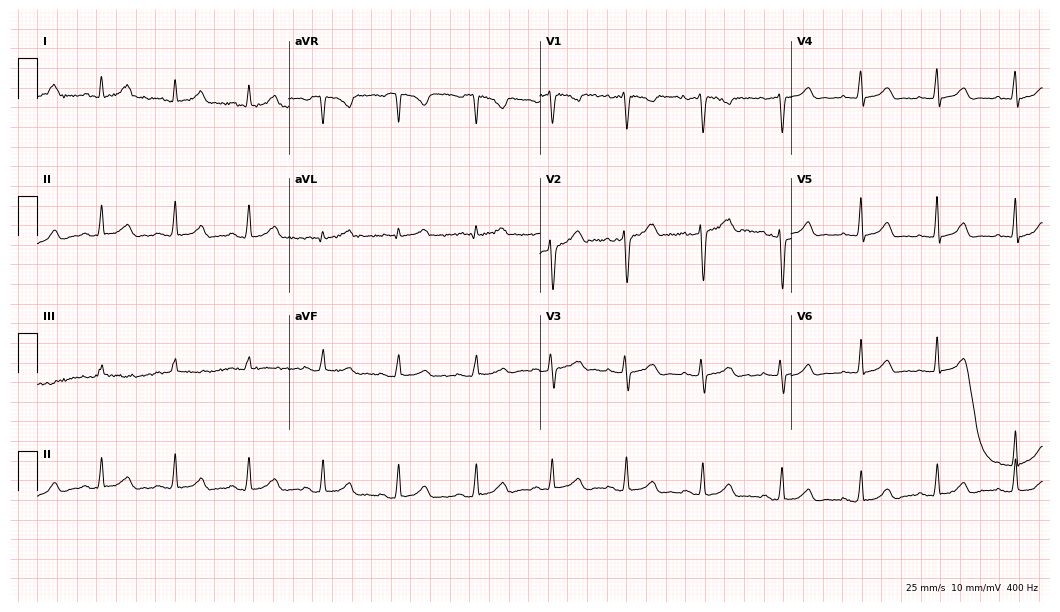
ECG (10.2-second recording at 400 Hz) — a 29-year-old woman. Labelled as a normal ECG.